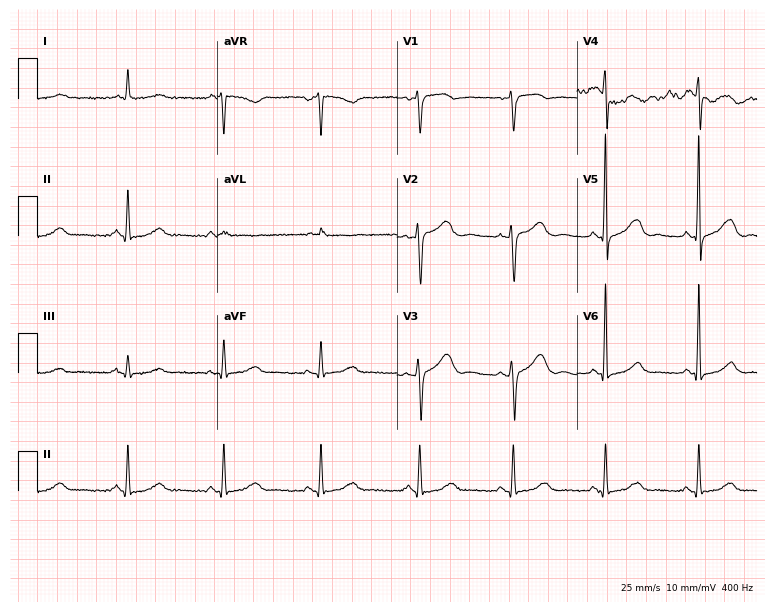
Standard 12-lead ECG recorded from a 53-year-old female patient. Read as a normal ECG.